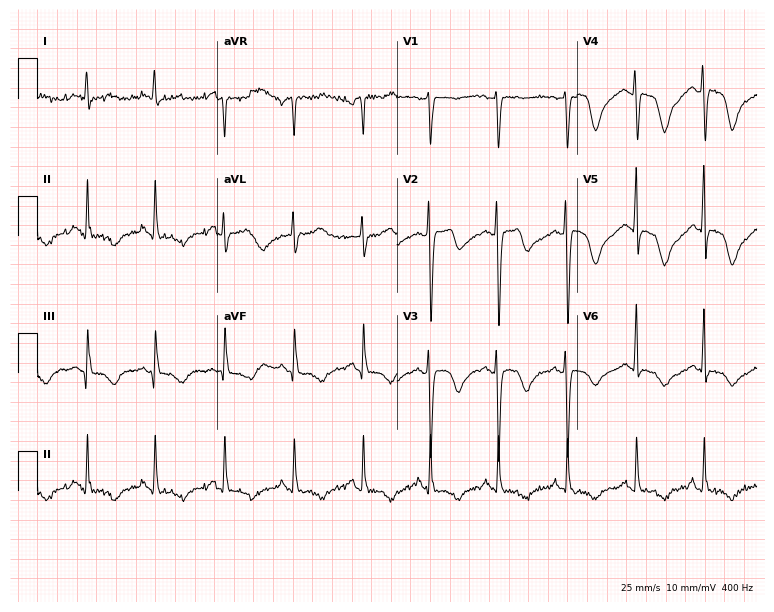
12-lead ECG from a 48-year-old female. Screened for six findings — first-degree AV block, right bundle branch block, left bundle branch block, sinus bradycardia, atrial fibrillation, sinus tachycardia — none is recorded.